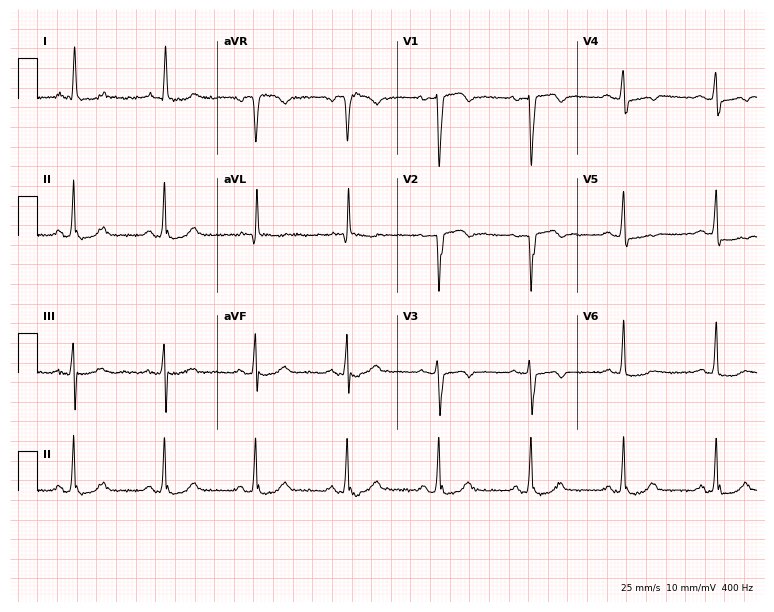
Electrocardiogram, a 76-year-old female patient. Of the six screened findings (first-degree AV block, right bundle branch block (RBBB), left bundle branch block (LBBB), sinus bradycardia, atrial fibrillation (AF), sinus tachycardia), none is recorded.